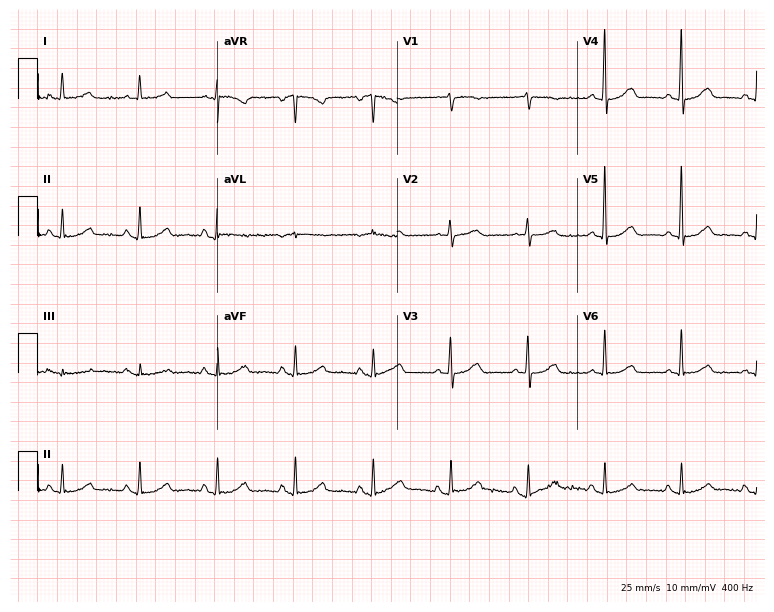
ECG — an 82-year-old female patient. Screened for six findings — first-degree AV block, right bundle branch block, left bundle branch block, sinus bradycardia, atrial fibrillation, sinus tachycardia — none is recorded.